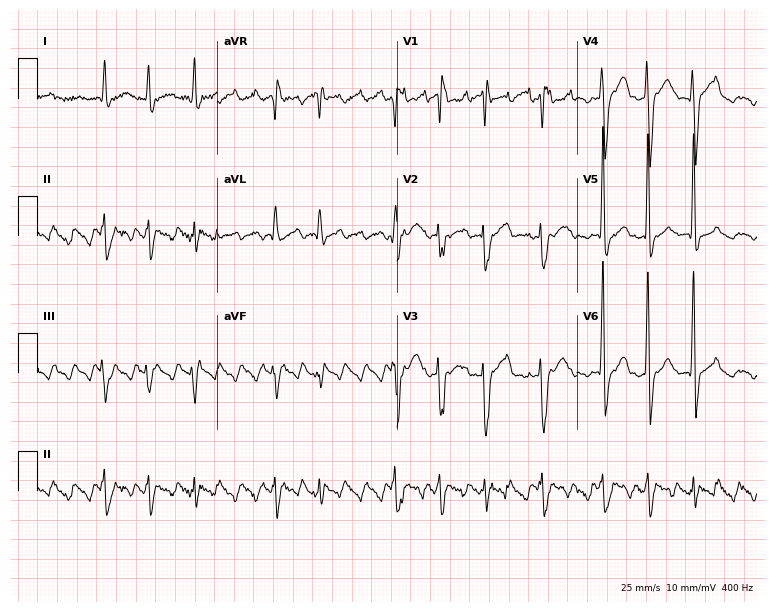
Resting 12-lead electrocardiogram (7.3-second recording at 400 Hz). Patient: a 51-year-old male. None of these six findings is recorded: first-degree AV block, right bundle branch block, left bundle branch block, sinus bradycardia, atrial fibrillation, sinus tachycardia. Other findings, if any, are not listed.